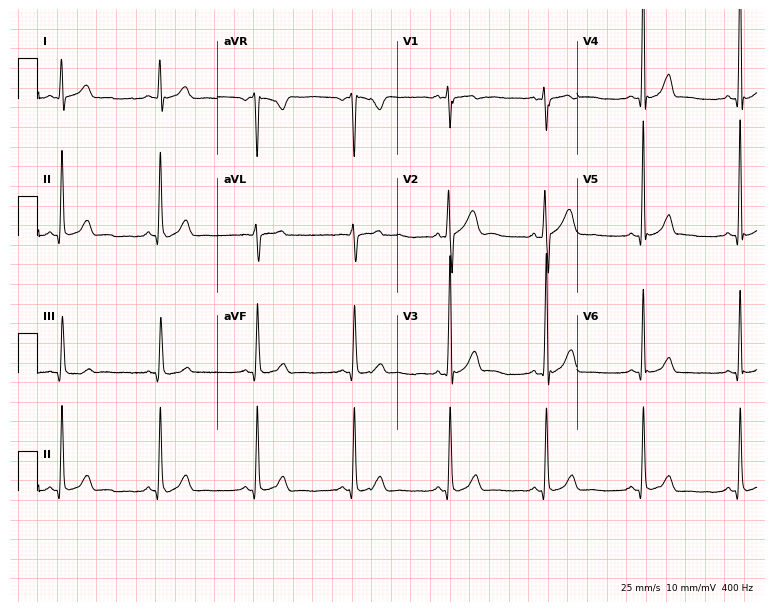
Resting 12-lead electrocardiogram. Patient: a man, 30 years old. None of these six findings is recorded: first-degree AV block, right bundle branch block, left bundle branch block, sinus bradycardia, atrial fibrillation, sinus tachycardia.